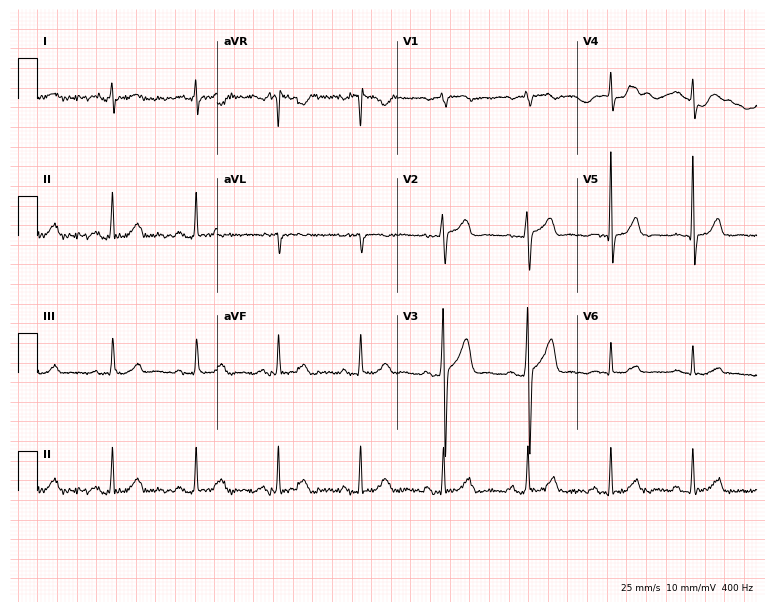
Electrocardiogram (7.3-second recording at 400 Hz), a man, 42 years old. Overall reading on record: normal ECG.